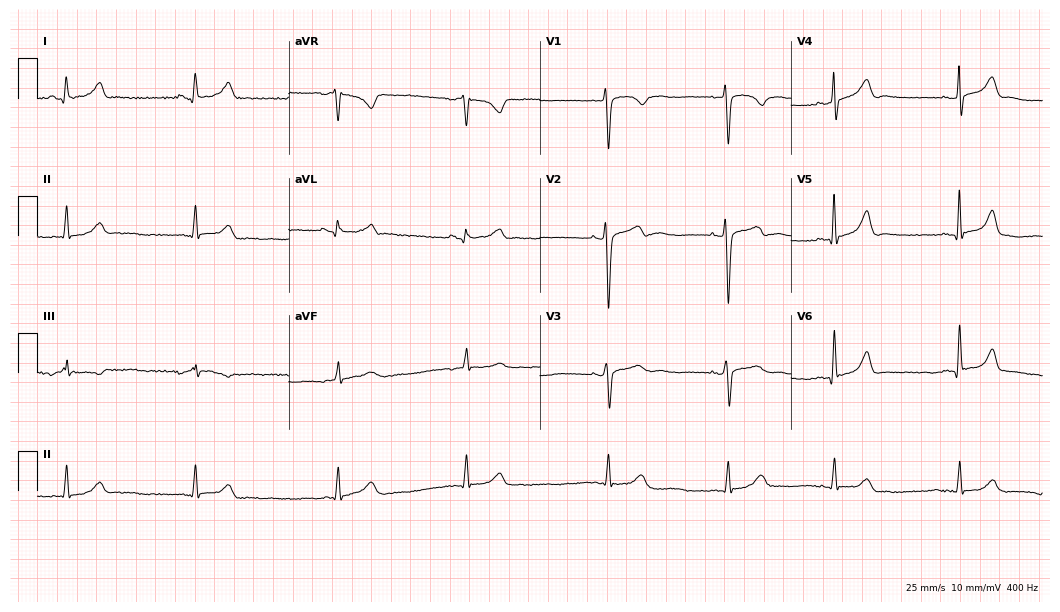
12-lead ECG (10.2-second recording at 400 Hz) from a female, 24 years old. Screened for six findings — first-degree AV block, right bundle branch block, left bundle branch block, sinus bradycardia, atrial fibrillation, sinus tachycardia — none is recorded.